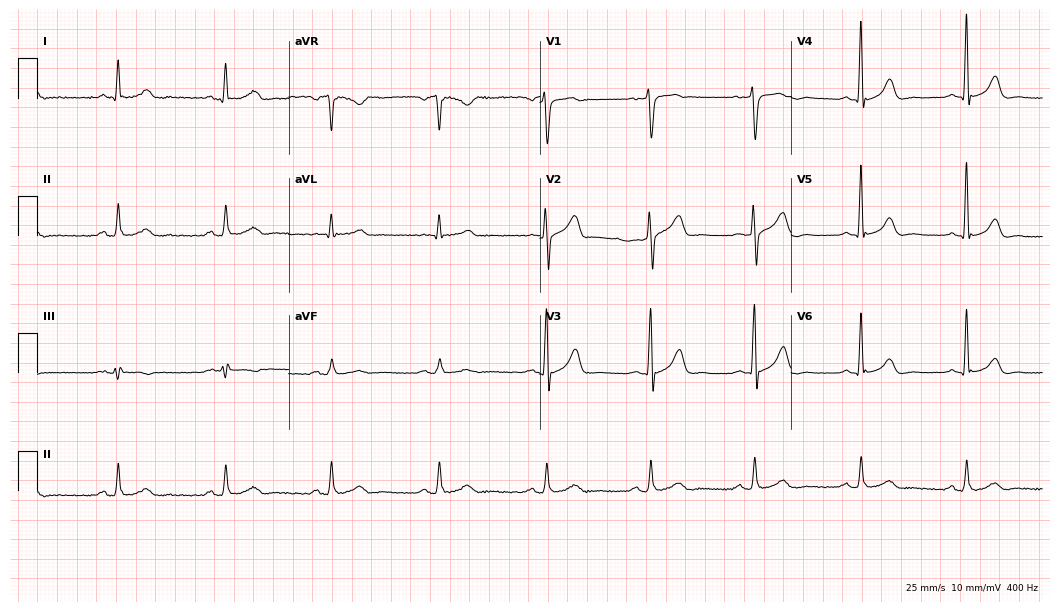
12-lead ECG from a 62-year-old male. Labelled as a normal ECG.